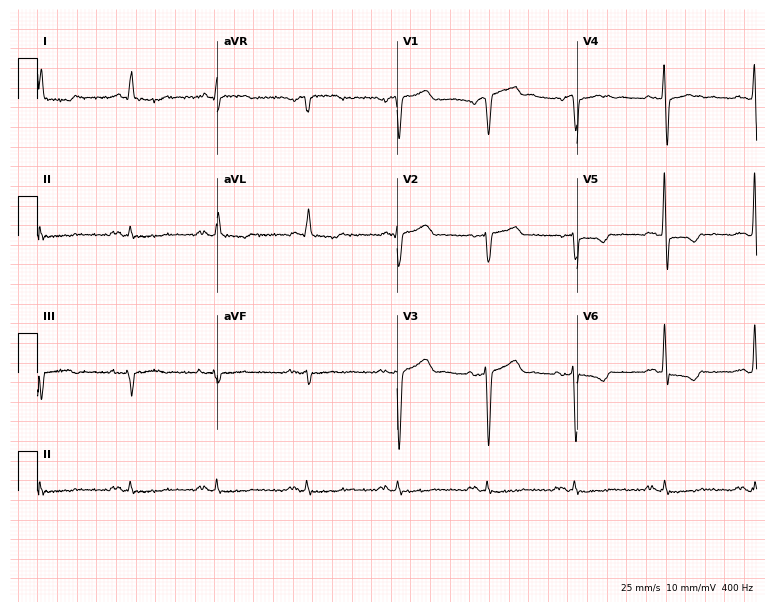
12-lead ECG (7.3-second recording at 400 Hz) from a 62-year-old man. Screened for six findings — first-degree AV block, right bundle branch block, left bundle branch block, sinus bradycardia, atrial fibrillation, sinus tachycardia — none is recorded. Other findings, if any, are not listed.